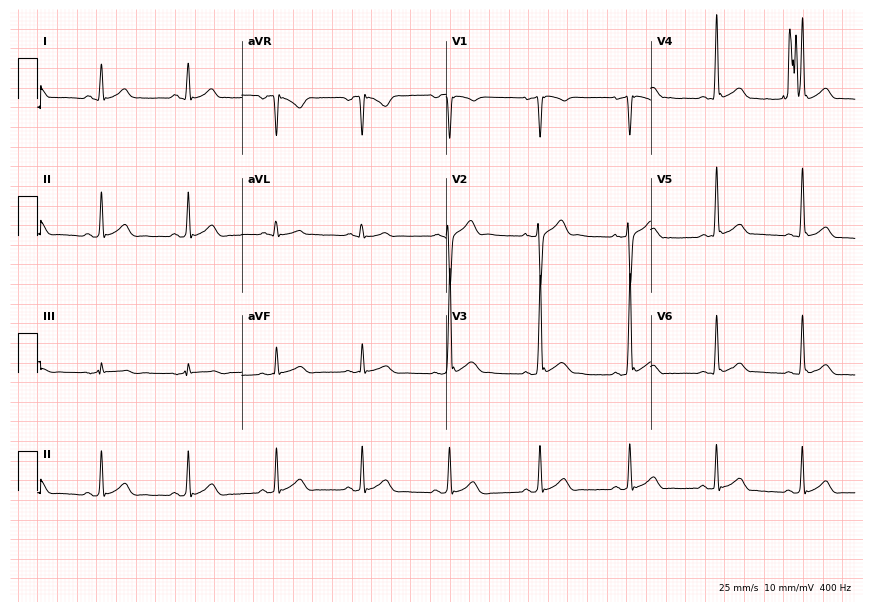
ECG — a 23-year-old male patient. Labelled as a normal ECG.